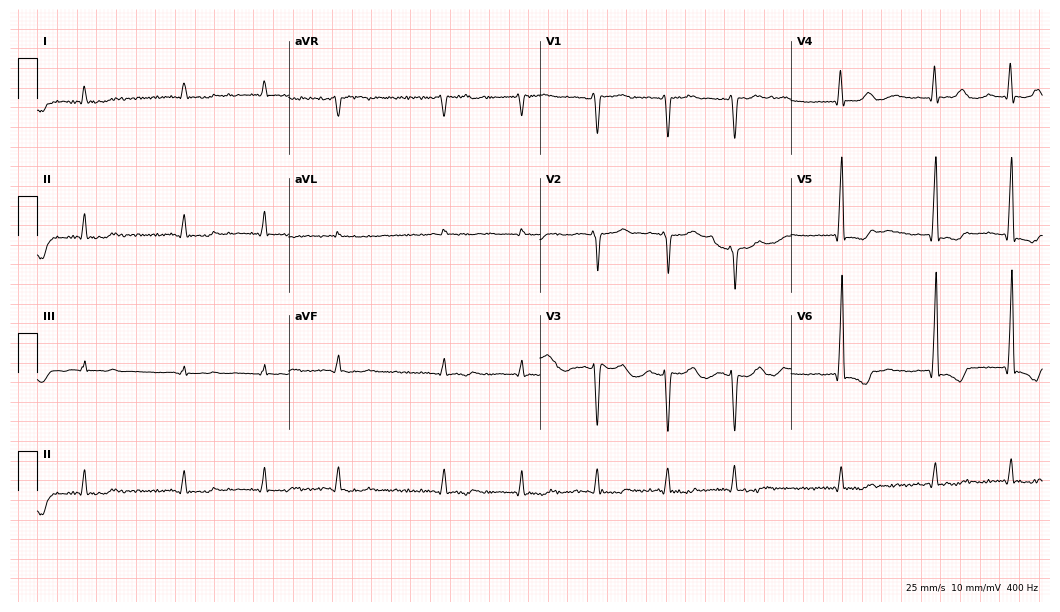
Standard 12-lead ECG recorded from a 78-year-old man (10.2-second recording at 400 Hz). The tracing shows atrial fibrillation (AF).